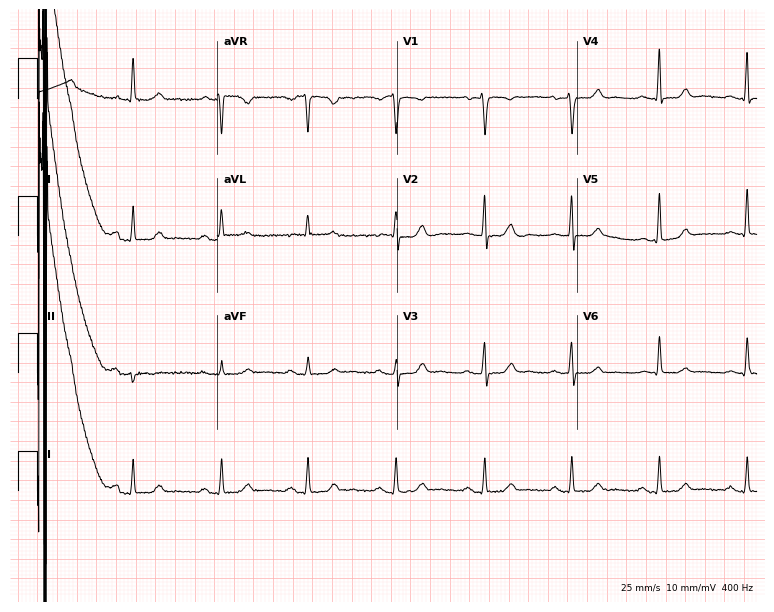
Electrocardiogram (7.3-second recording at 400 Hz), a woman, 49 years old. Of the six screened findings (first-degree AV block, right bundle branch block, left bundle branch block, sinus bradycardia, atrial fibrillation, sinus tachycardia), none is recorded. Other findings, if any, are not listed.